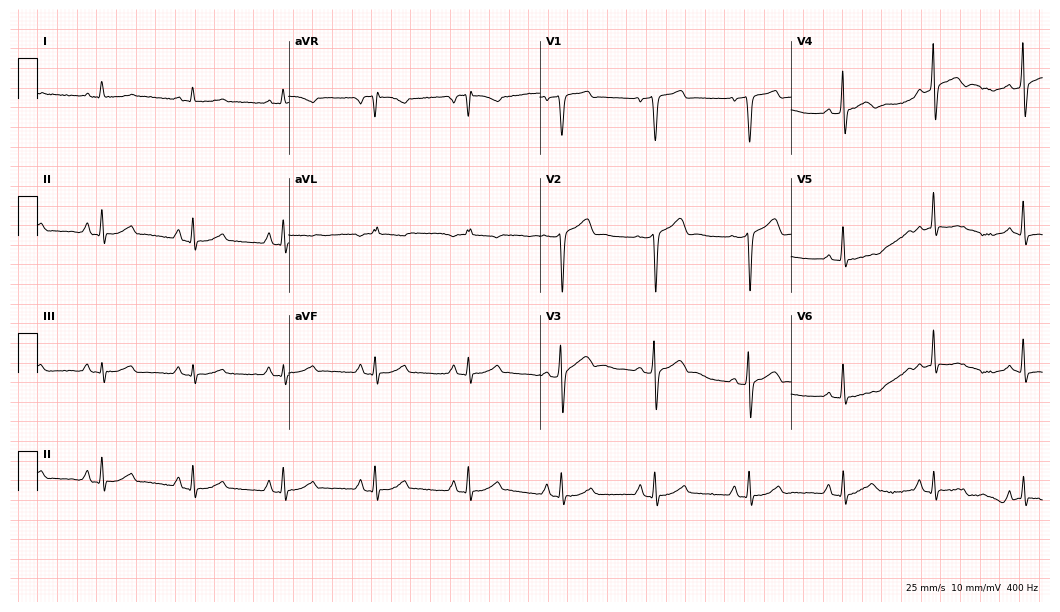
Electrocardiogram, a 57-year-old man. Overall reading on record: normal ECG.